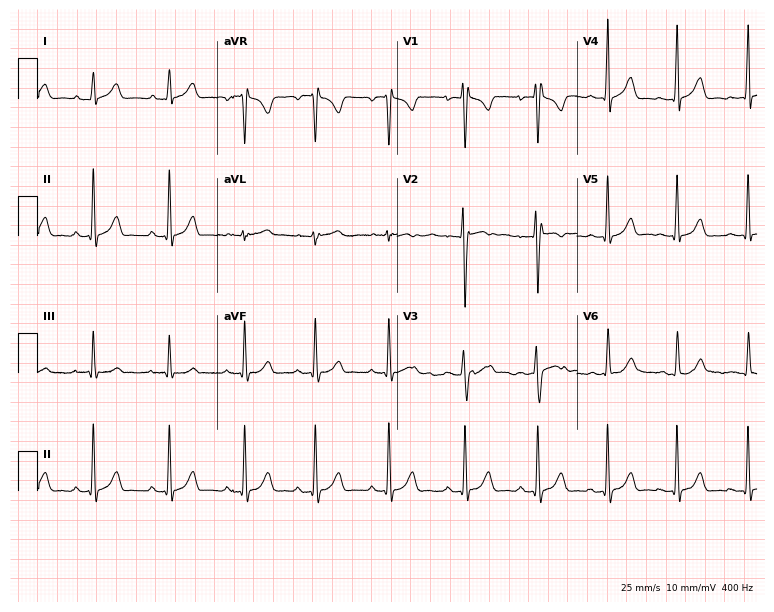
Electrocardiogram, a 19-year-old female patient. Of the six screened findings (first-degree AV block, right bundle branch block, left bundle branch block, sinus bradycardia, atrial fibrillation, sinus tachycardia), none is recorded.